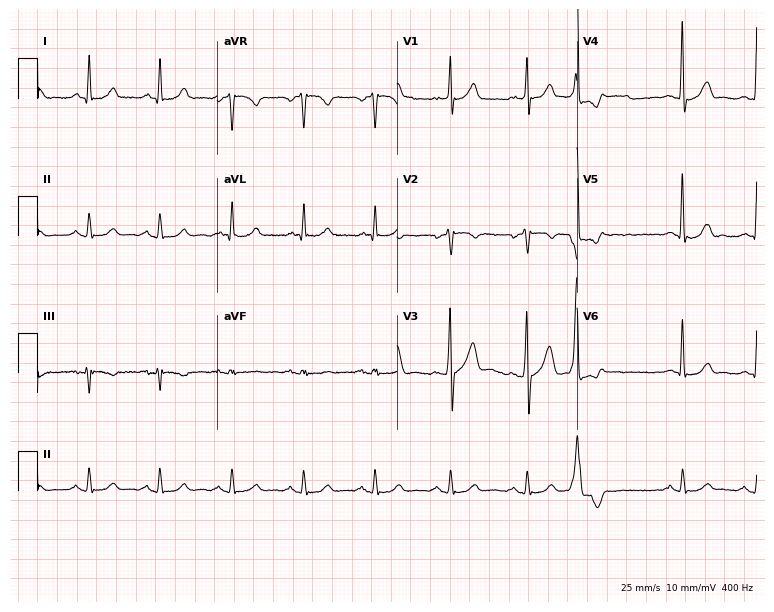
Electrocardiogram (7.3-second recording at 400 Hz), a 48-year-old male patient. Overall reading on record: normal ECG.